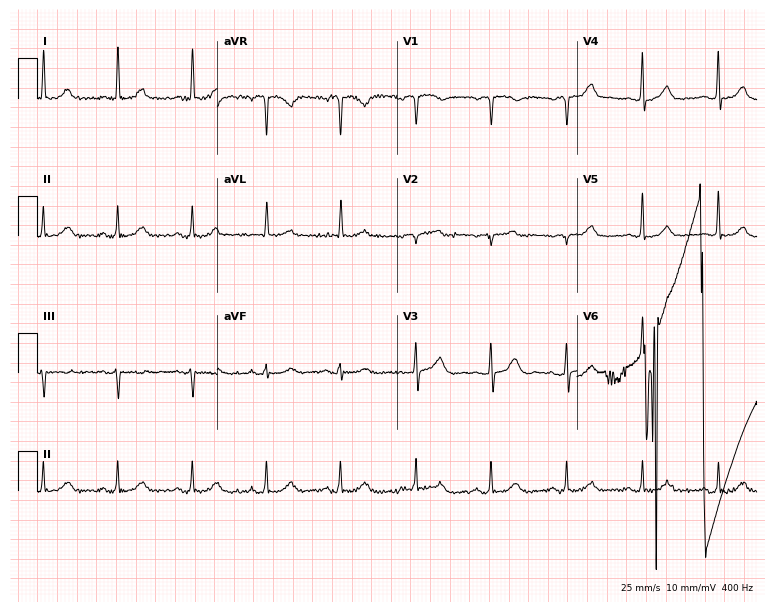
12-lead ECG from a woman, 69 years old. Recorded interpretation: within normal limits.